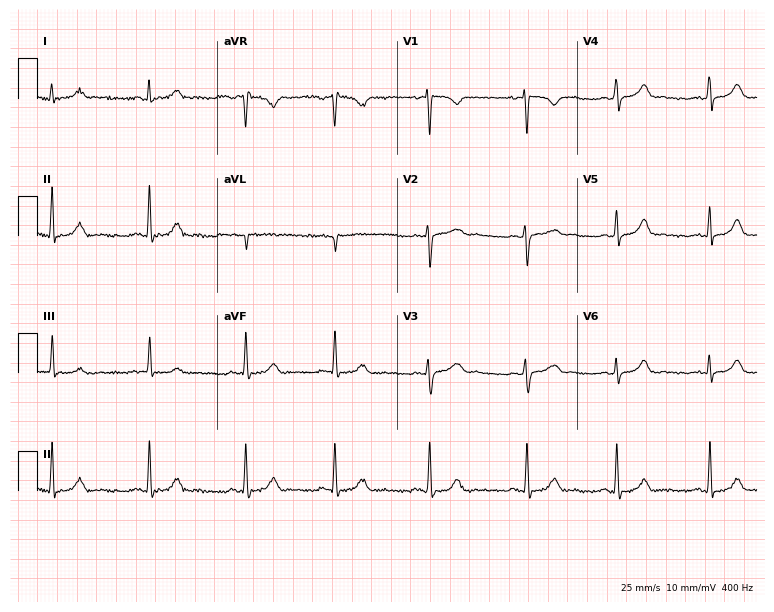
12-lead ECG (7.3-second recording at 400 Hz) from a 29-year-old woman. Labelled as a normal ECG.